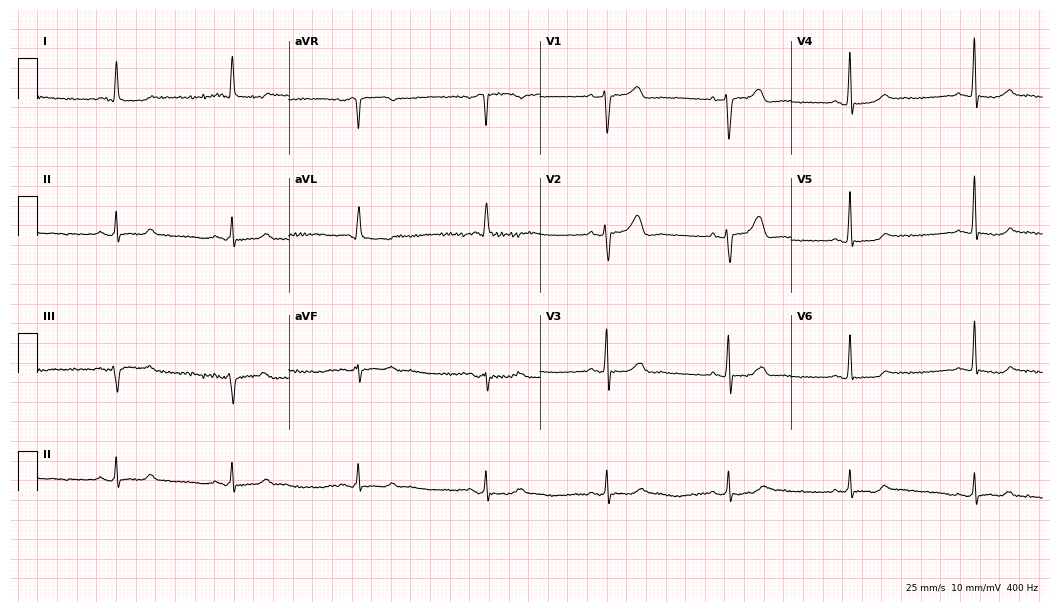
Standard 12-lead ECG recorded from a 78-year-old female. None of these six findings is recorded: first-degree AV block, right bundle branch block (RBBB), left bundle branch block (LBBB), sinus bradycardia, atrial fibrillation (AF), sinus tachycardia. Findings outside these six are not listed.